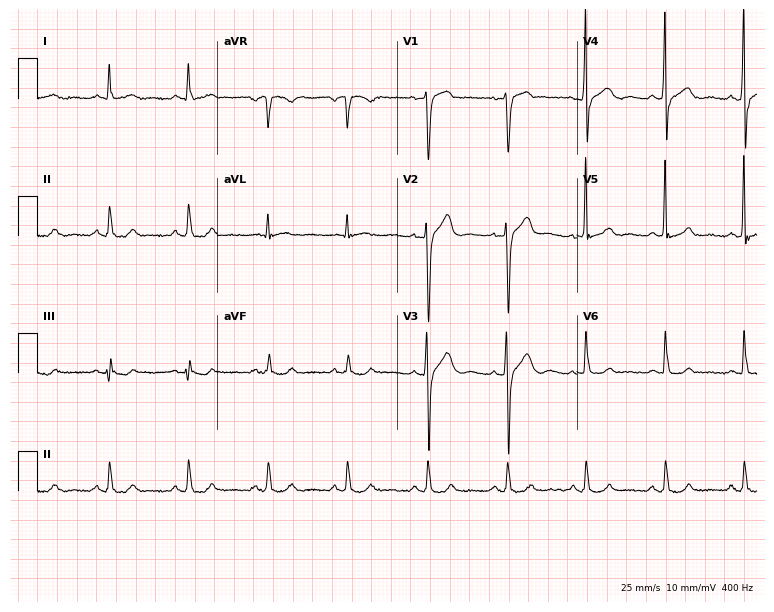
Electrocardiogram (7.3-second recording at 400 Hz), a 51-year-old man. Overall reading on record: normal ECG.